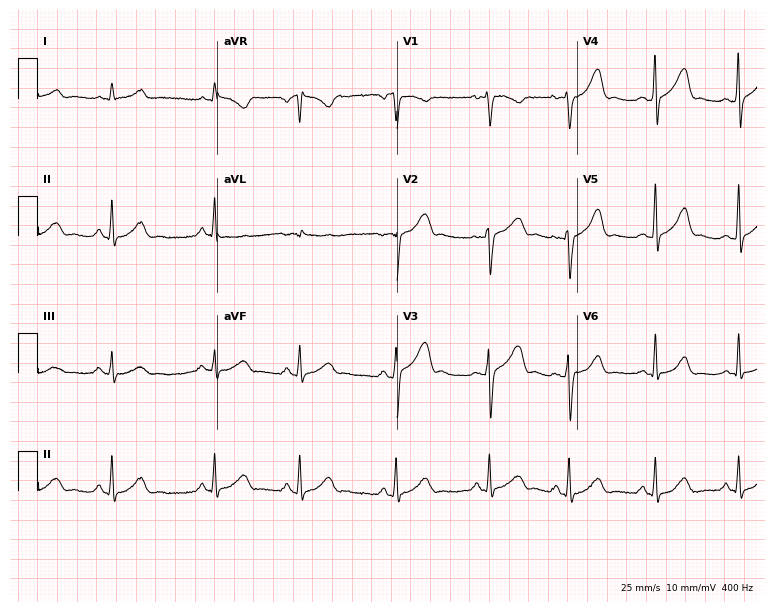
Standard 12-lead ECG recorded from a 27-year-old female patient. Read as a normal ECG.